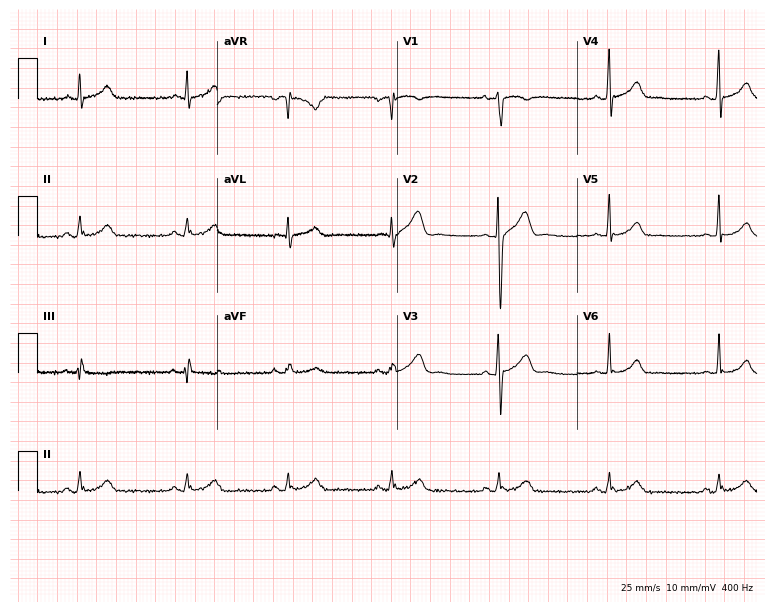
Resting 12-lead electrocardiogram. Patient: a 38-year-old man. Read as a normal ECG.